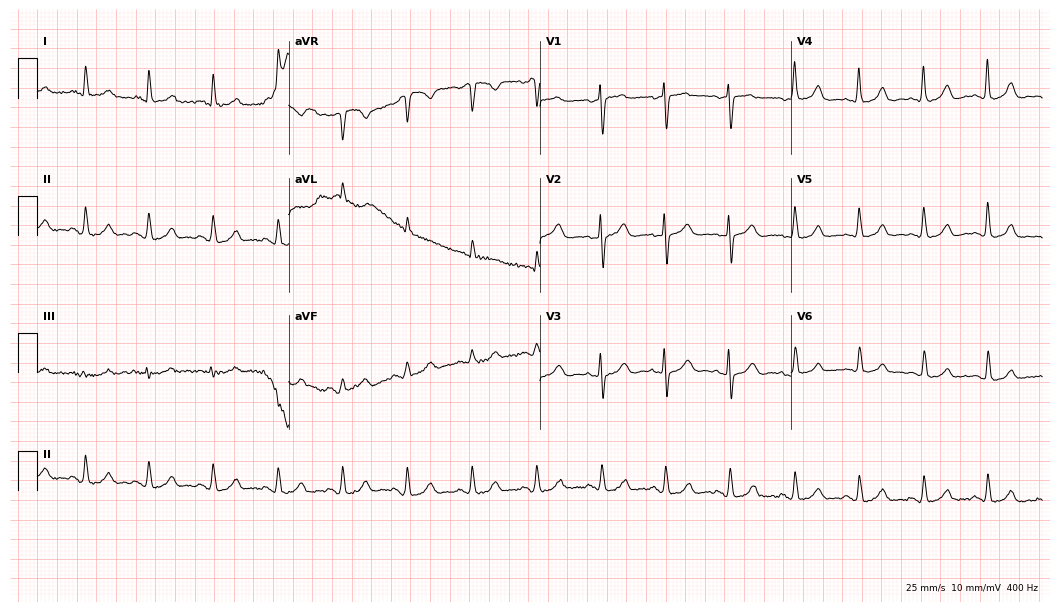
Resting 12-lead electrocardiogram (10.2-second recording at 400 Hz). Patient: a 77-year-old female. Read as a normal ECG.